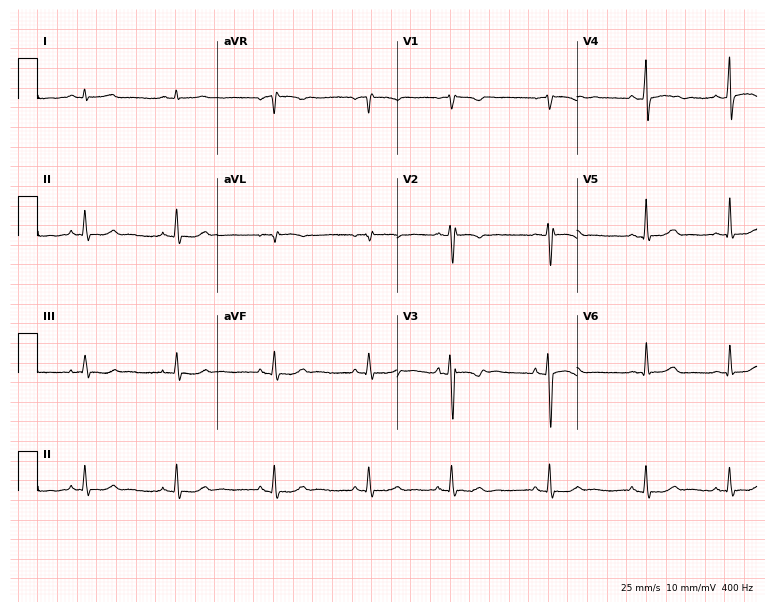
Electrocardiogram, a 24-year-old female. Of the six screened findings (first-degree AV block, right bundle branch block, left bundle branch block, sinus bradycardia, atrial fibrillation, sinus tachycardia), none is recorded.